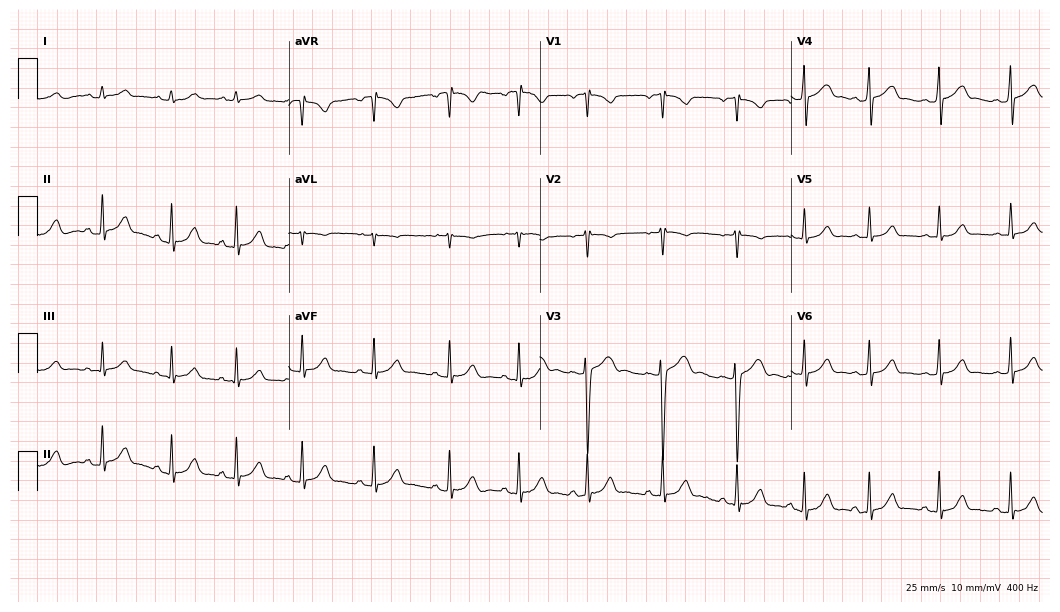
12-lead ECG from a woman, 19 years old. Recorded interpretation: within normal limits.